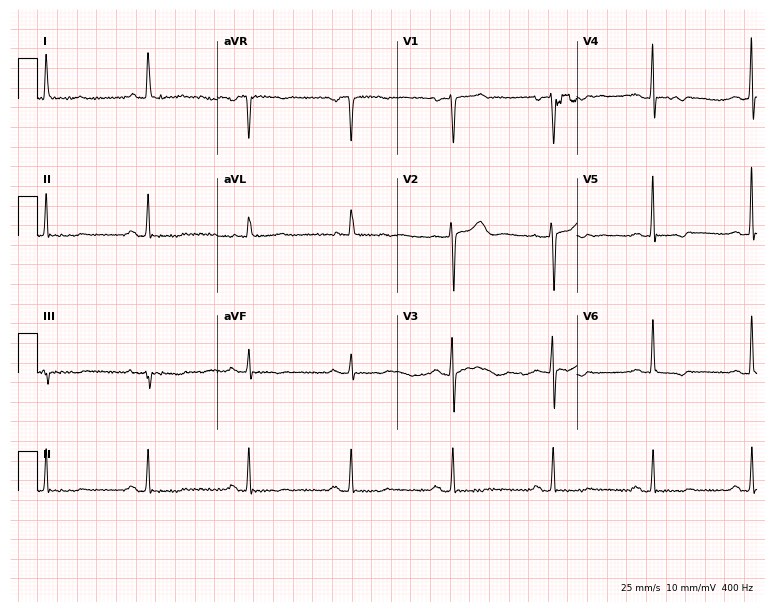
Resting 12-lead electrocardiogram (7.3-second recording at 400 Hz). Patient: a woman, 81 years old. None of these six findings is recorded: first-degree AV block, right bundle branch block, left bundle branch block, sinus bradycardia, atrial fibrillation, sinus tachycardia. Findings outside these six are not listed.